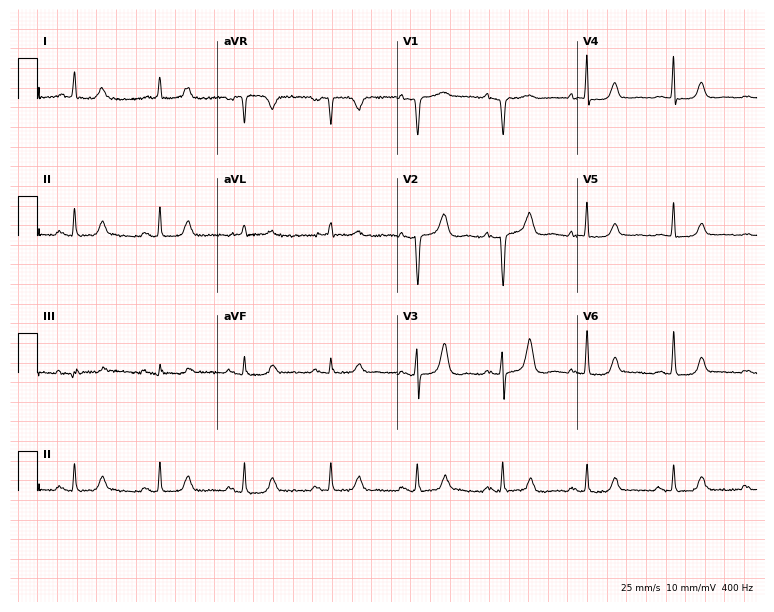
Resting 12-lead electrocardiogram. Patient: a woman, 85 years old. None of these six findings is recorded: first-degree AV block, right bundle branch block, left bundle branch block, sinus bradycardia, atrial fibrillation, sinus tachycardia. Other findings, if any, are not listed.